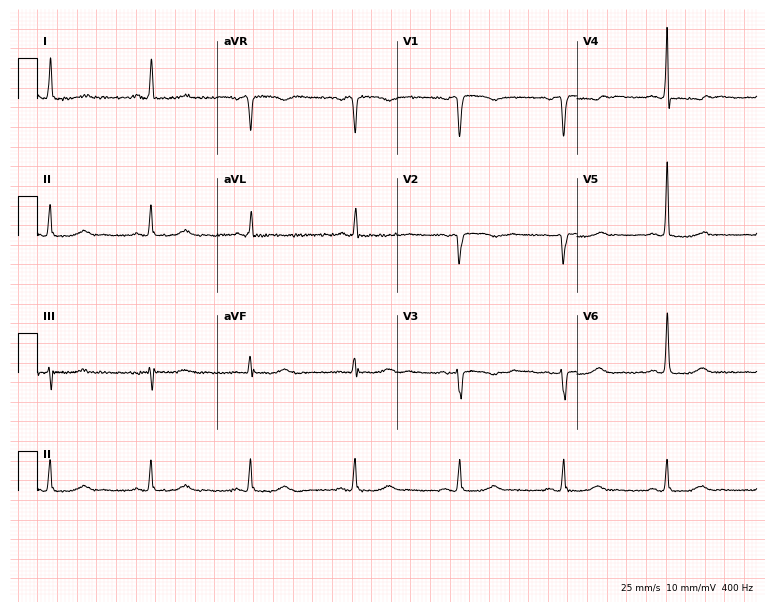
Electrocardiogram, a woman, 77 years old. Of the six screened findings (first-degree AV block, right bundle branch block (RBBB), left bundle branch block (LBBB), sinus bradycardia, atrial fibrillation (AF), sinus tachycardia), none is recorded.